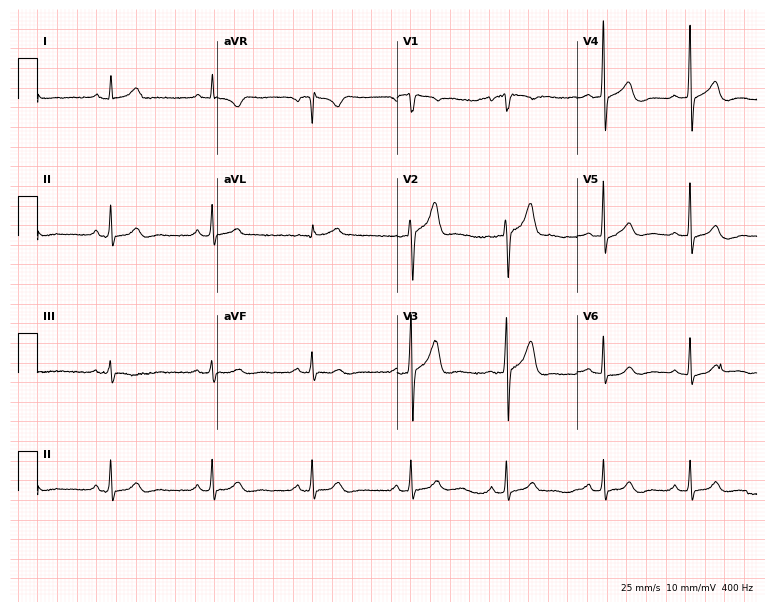
12-lead ECG (7.3-second recording at 400 Hz) from a 70-year-old man. Screened for six findings — first-degree AV block, right bundle branch block (RBBB), left bundle branch block (LBBB), sinus bradycardia, atrial fibrillation (AF), sinus tachycardia — none is recorded.